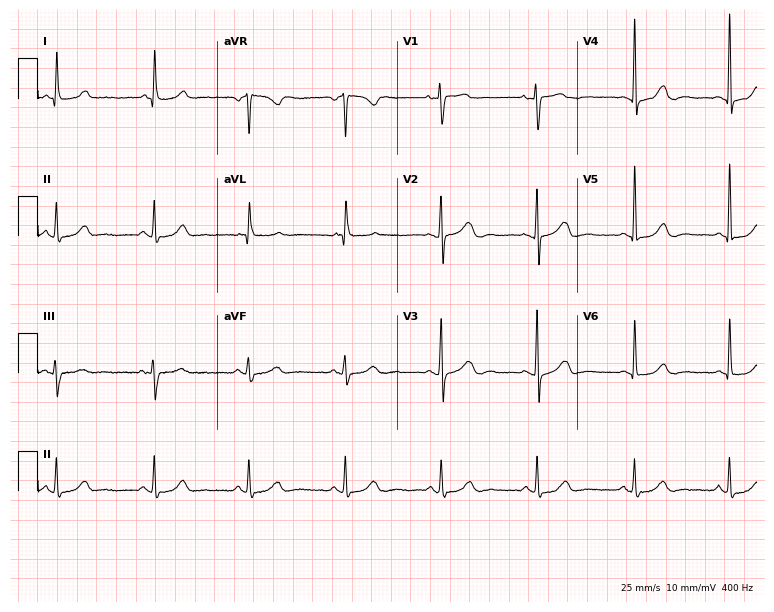
Standard 12-lead ECG recorded from a woman, 69 years old. Read as a normal ECG.